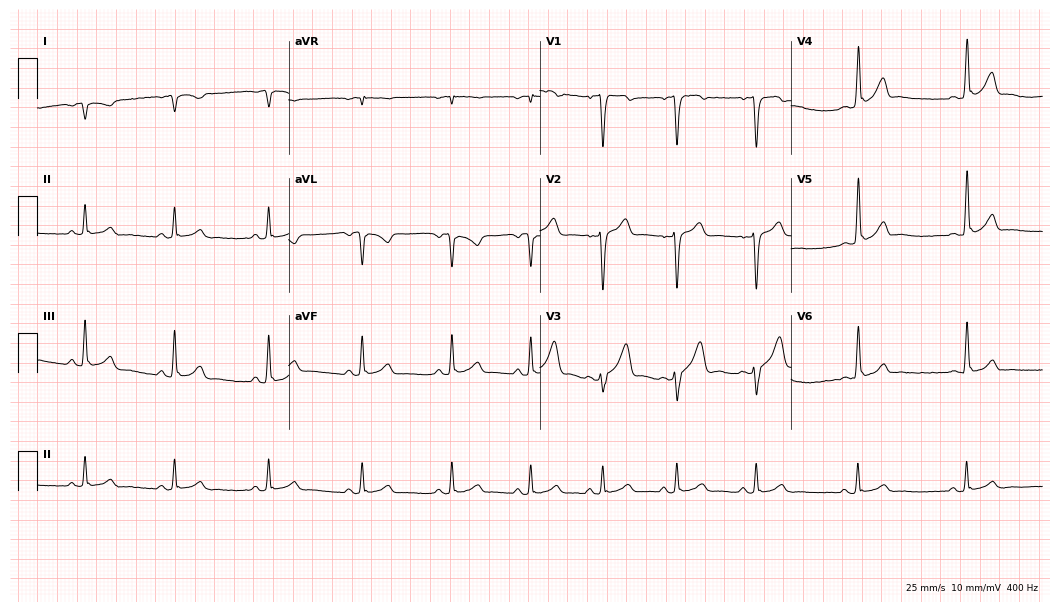
12-lead ECG (10.2-second recording at 400 Hz) from a male patient, 27 years old. Screened for six findings — first-degree AV block, right bundle branch block, left bundle branch block, sinus bradycardia, atrial fibrillation, sinus tachycardia — none is recorded.